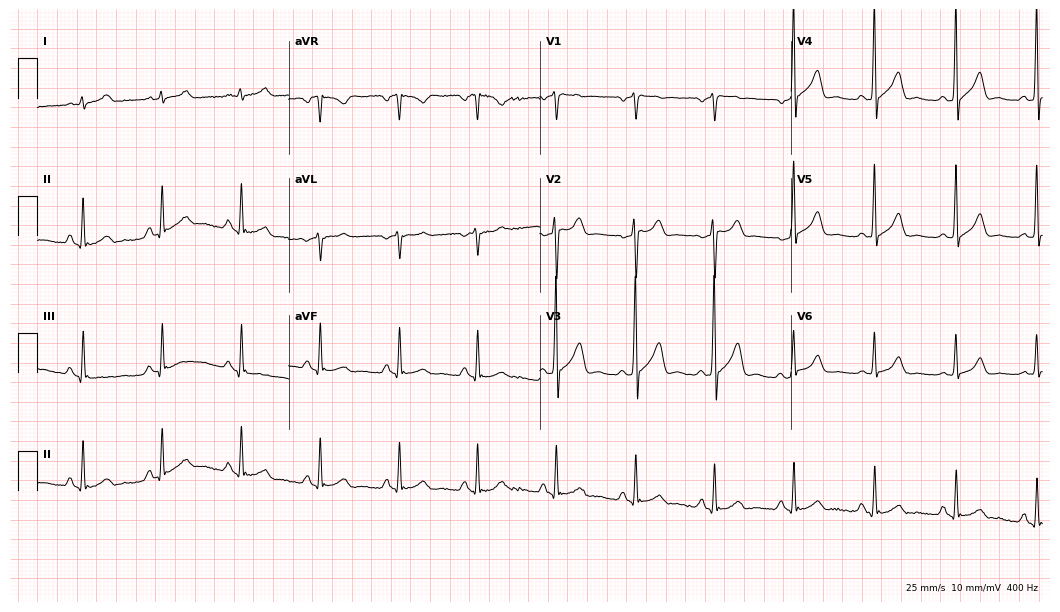
12-lead ECG (10.2-second recording at 400 Hz) from a 46-year-old male. Labelled as a normal ECG.